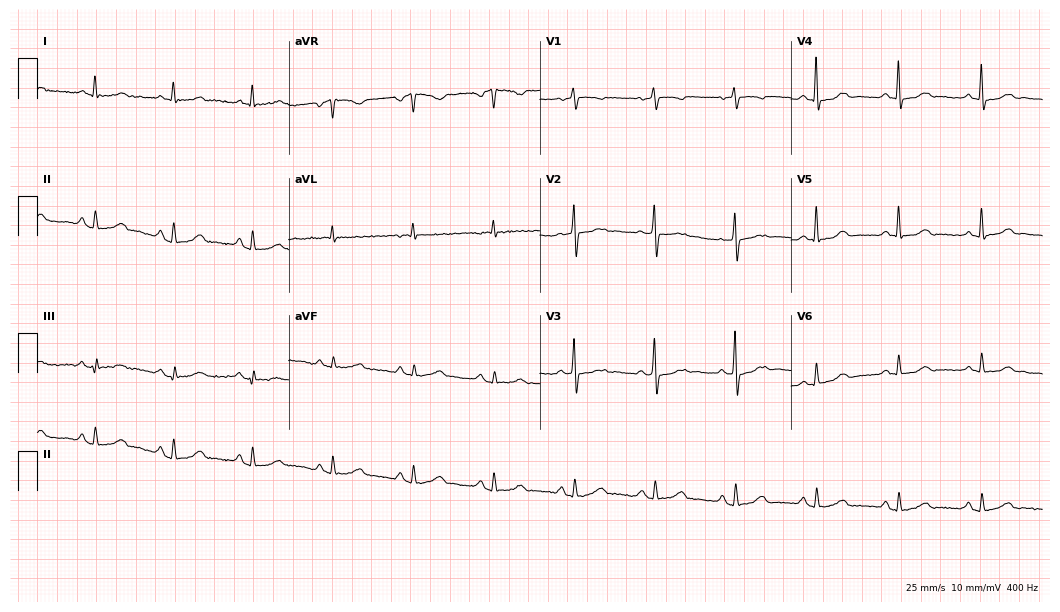
12-lead ECG (10.2-second recording at 400 Hz) from a woman, 79 years old. Labelled as a normal ECG.